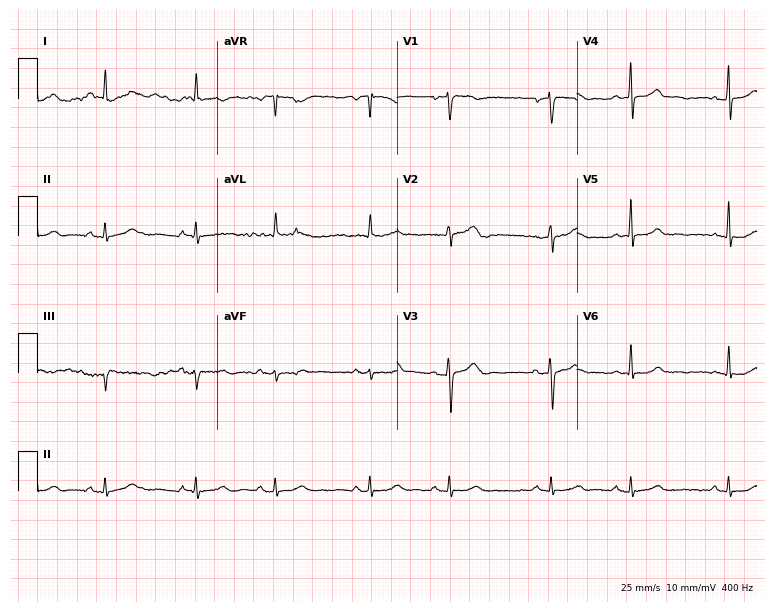
Resting 12-lead electrocardiogram (7.3-second recording at 400 Hz). Patient: a 72-year-old male. Read as a normal ECG.